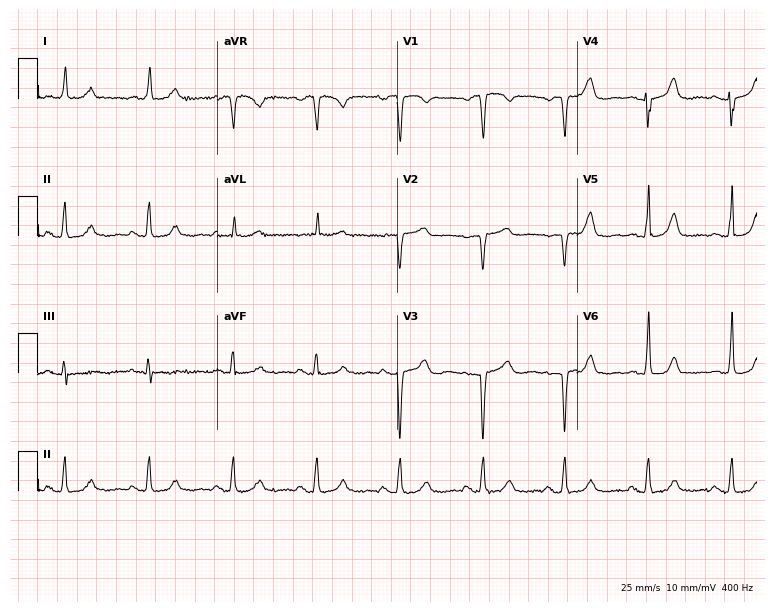
12-lead ECG from a woman, 69 years old. Screened for six findings — first-degree AV block, right bundle branch block, left bundle branch block, sinus bradycardia, atrial fibrillation, sinus tachycardia — none is recorded.